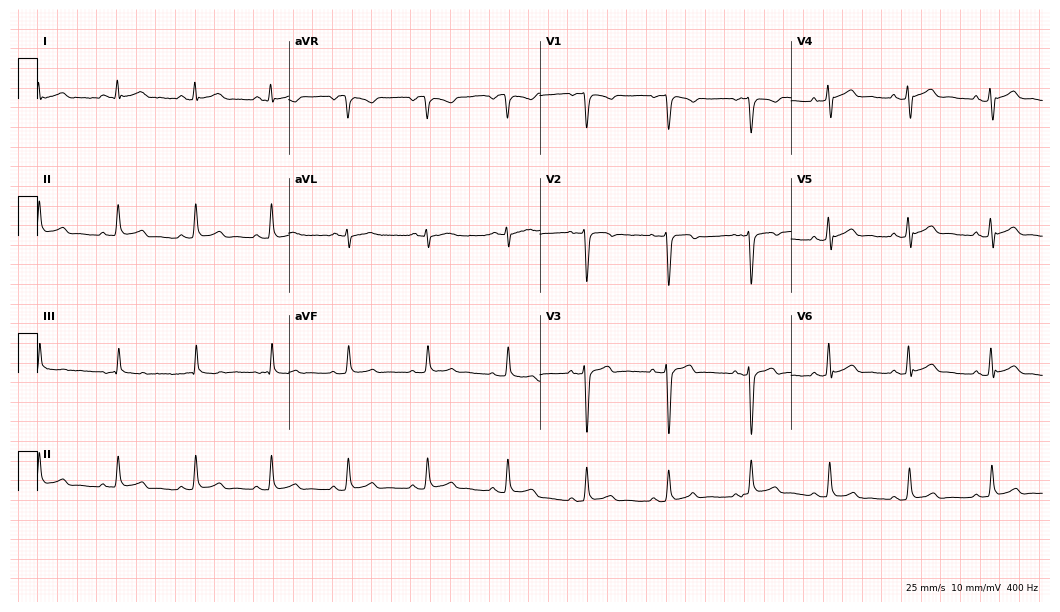
ECG (10.2-second recording at 400 Hz) — a 31-year-old male. Labelled as a normal ECG.